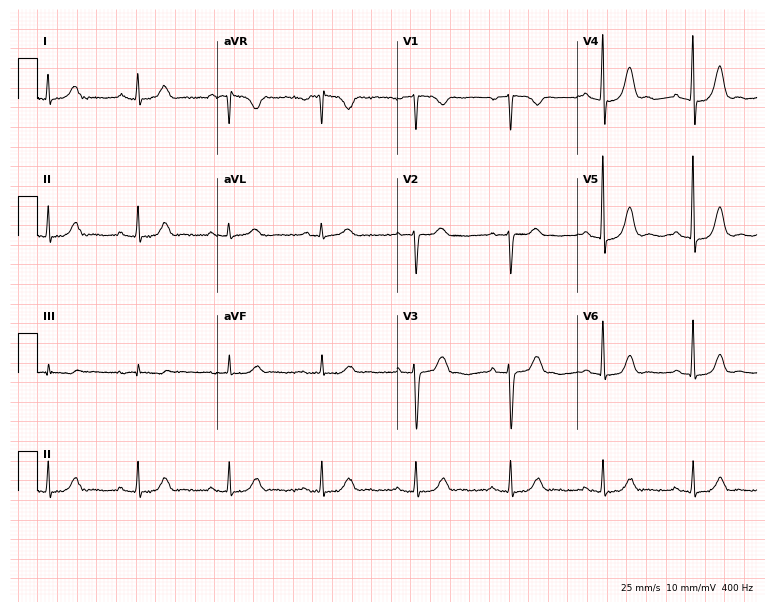
Resting 12-lead electrocardiogram. Patient: a female, 39 years old. Read as a normal ECG.